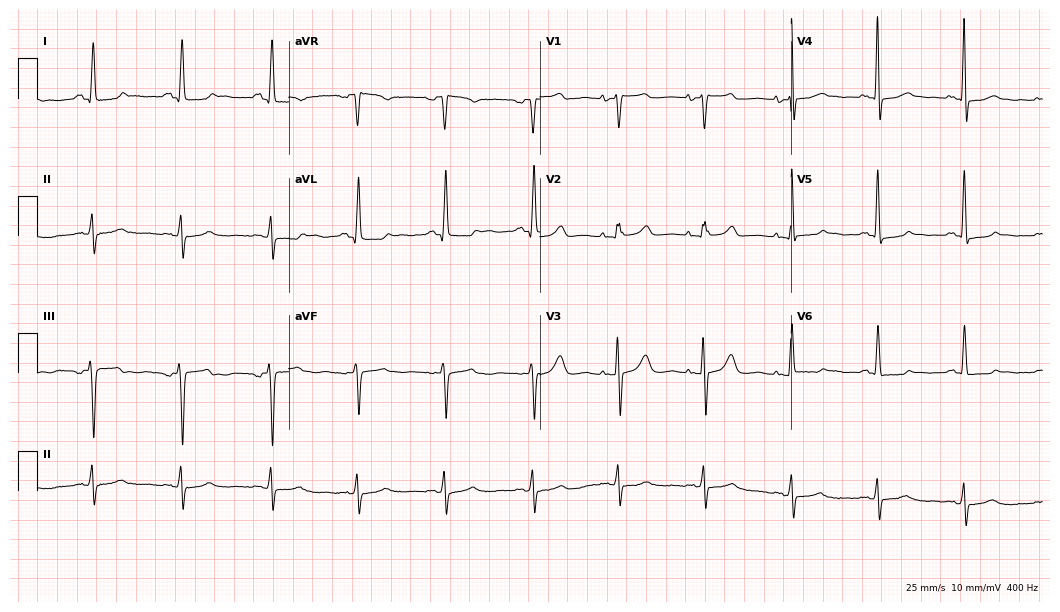
Standard 12-lead ECG recorded from a 47-year-old female patient. None of these six findings is recorded: first-degree AV block, right bundle branch block (RBBB), left bundle branch block (LBBB), sinus bradycardia, atrial fibrillation (AF), sinus tachycardia.